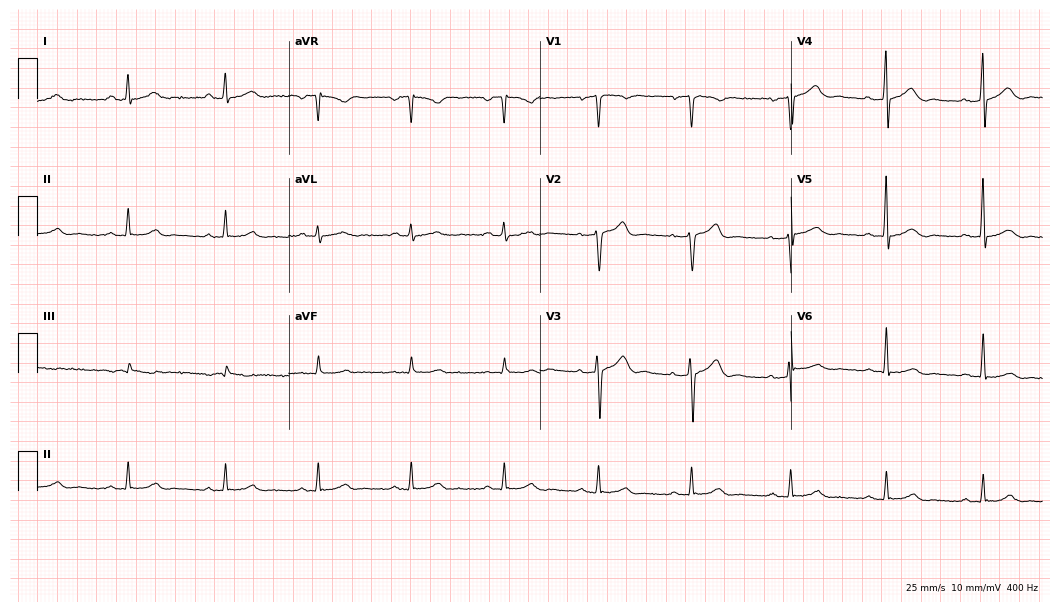
Electrocardiogram (10.2-second recording at 400 Hz), a 44-year-old man. Overall reading on record: normal ECG.